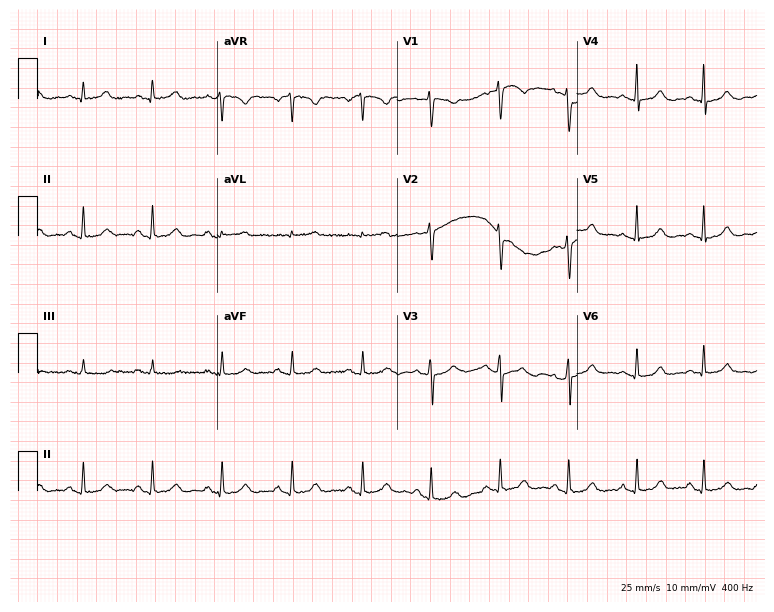
Resting 12-lead electrocardiogram. Patient: a female, 42 years old. Read as a normal ECG.